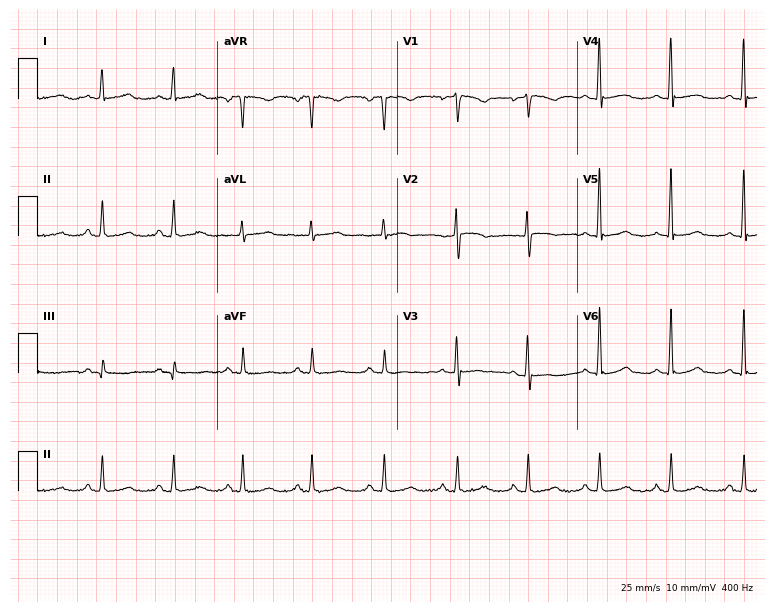
Standard 12-lead ECG recorded from a 62-year-old female. Read as a normal ECG.